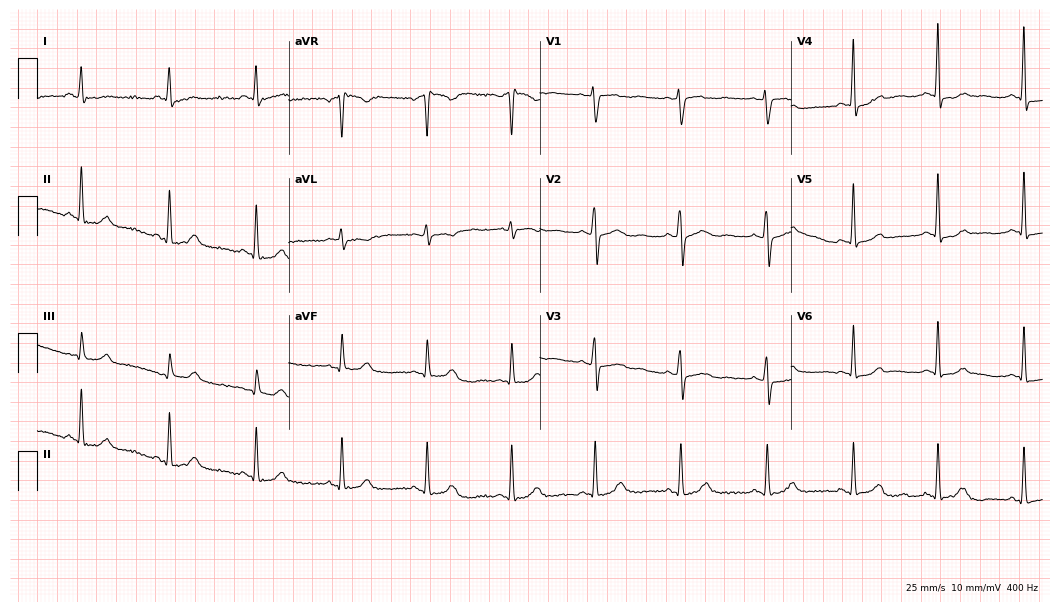
ECG (10.2-second recording at 400 Hz) — a 53-year-old woman. Labelled as a normal ECG.